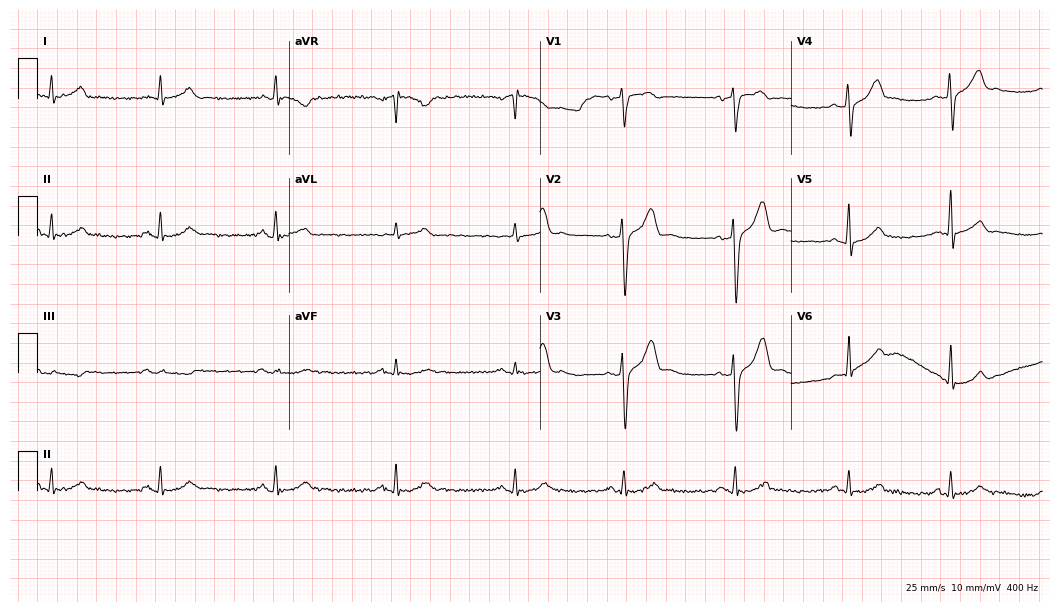
12-lead ECG from a 38-year-old male. Screened for six findings — first-degree AV block, right bundle branch block, left bundle branch block, sinus bradycardia, atrial fibrillation, sinus tachycardia — none is recorded.